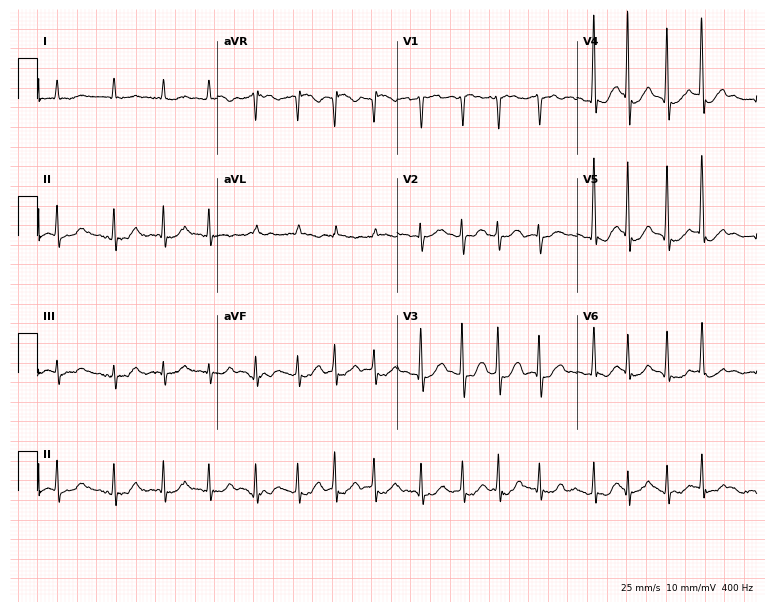
ECG — a male patient, 71 years old. Findings include atrial fibrillation (AF).